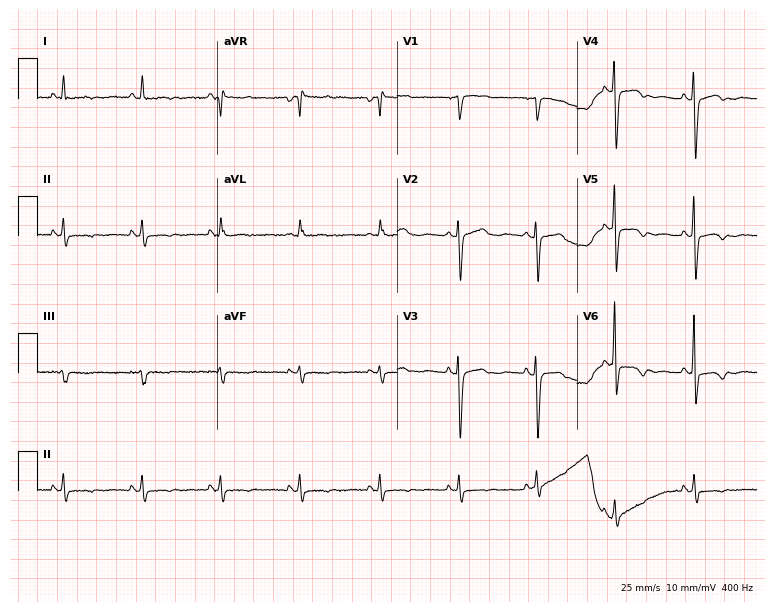
Resting 12-lead electrocardiogram (7.3-second recording at 400 Hz). Patient: a 64-year-old female. None of these six findings is recorded: first-degree AV block, right bundle branch block, left bundle branch block, sinus bradycardia, atrial fibrillation, sinus tachycardia. Only these six findings were labelled.